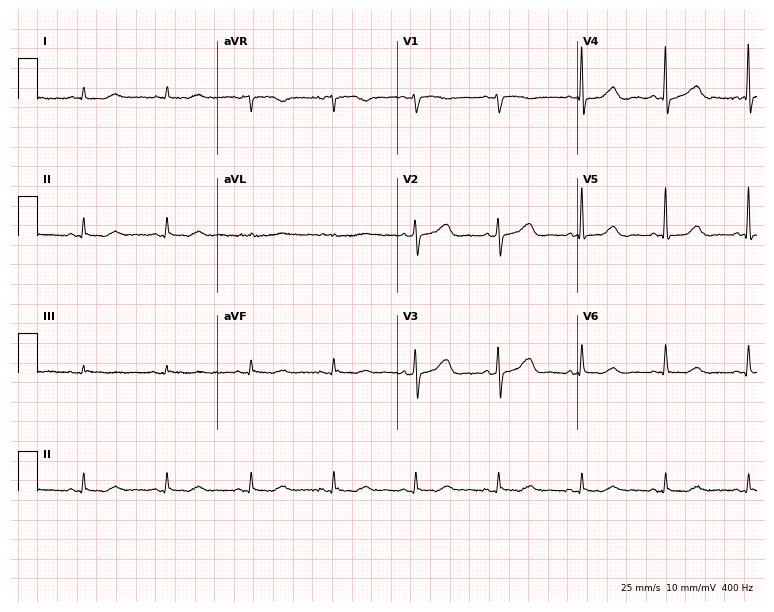
12-lead ECG from a 70-year-old female patient. Recorded interpretation: within normal limits.